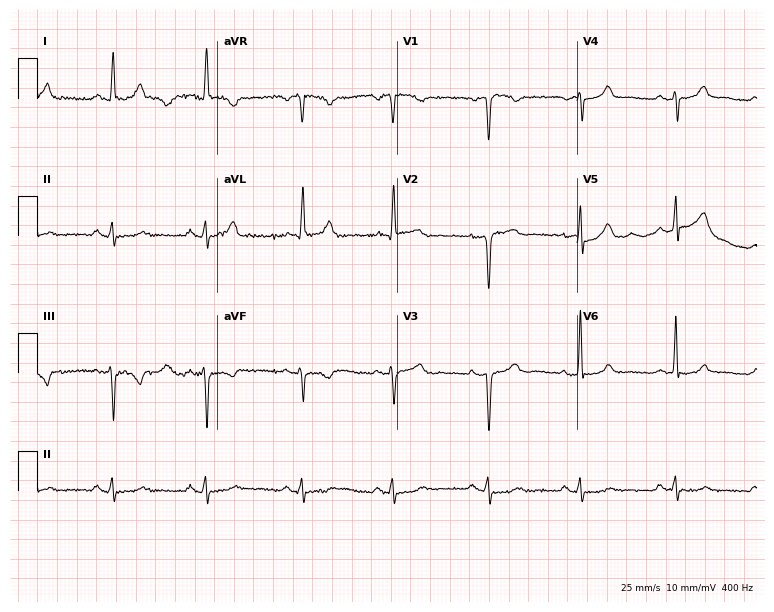
Resting 12-lead electrocardiogram (7.3-second recording at 400 Hz). Patient: a 48-year-old female. None of these six findings is recorded: first-degree AV block, right bundle branch block, left bundle branch block, sinus bradycardia, atrial fibrillation, sinus tachycardia. Other findings, if any, are not listed.